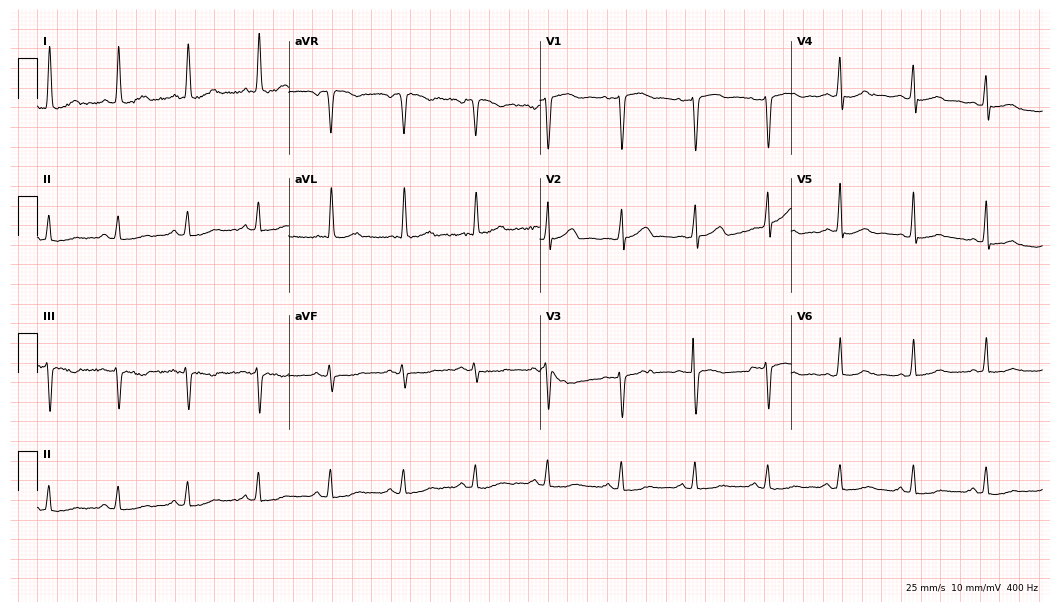
Resting 12-lead electrocardiogram. Patient: a female, 51 years old. Read as a normal ECG.